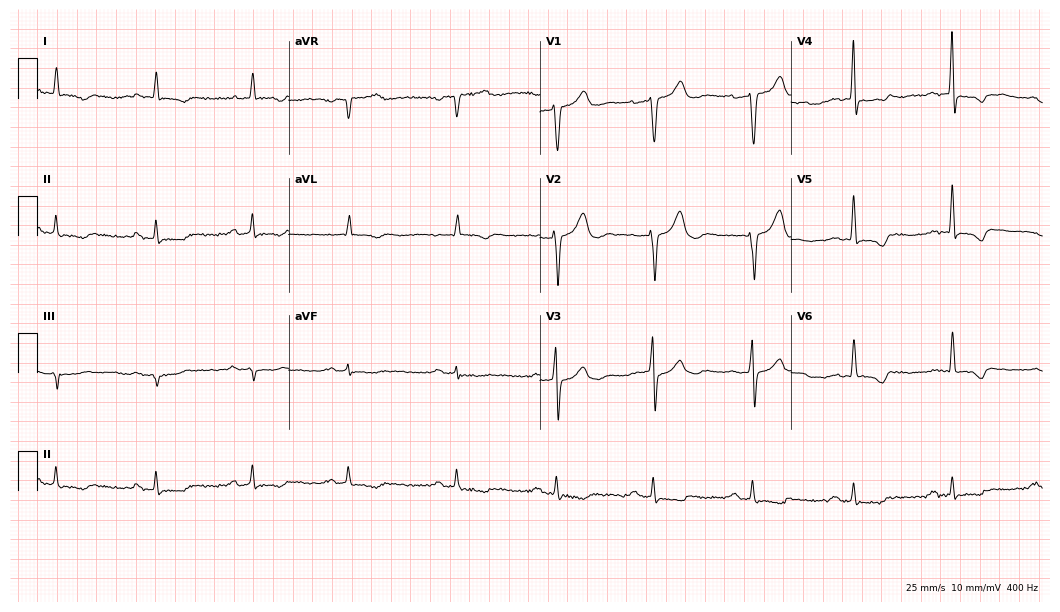
Electrocardiogram, a 75-year-old male patient. Of the six screened findings (first-degree AV block, right bundle branch block, left bundle branch block, sinus bradycardia, atrial fibrillation, sinus tachycardia), none is recorded.